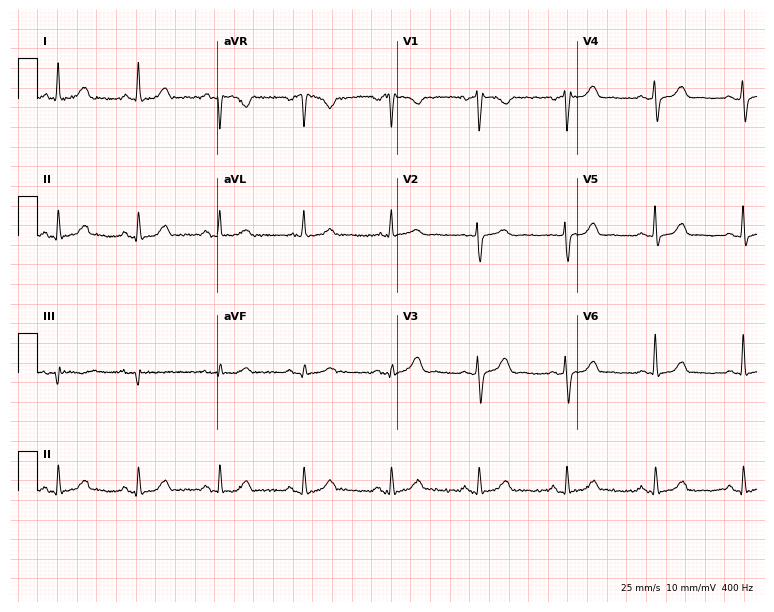
Standard 12-lead ECG recorded from a 57-year-old female patient. Read as a normal ECG.